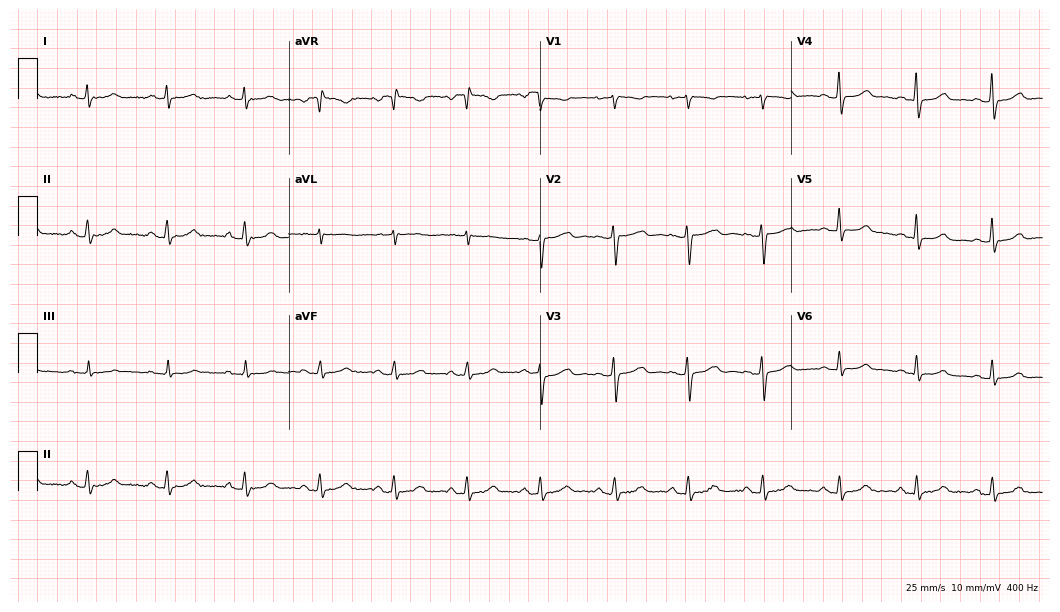
Standard 12-lead ECG recorded from a female patient, 39 years old. None of these six findings is recorded: first-degree AV block, right bundle branch block (RBBB), left bundle branch block (LBBB), sinus bradycardia, atrial fibrillation (AF), sinus tachycardia. Only these six findings were labelled.